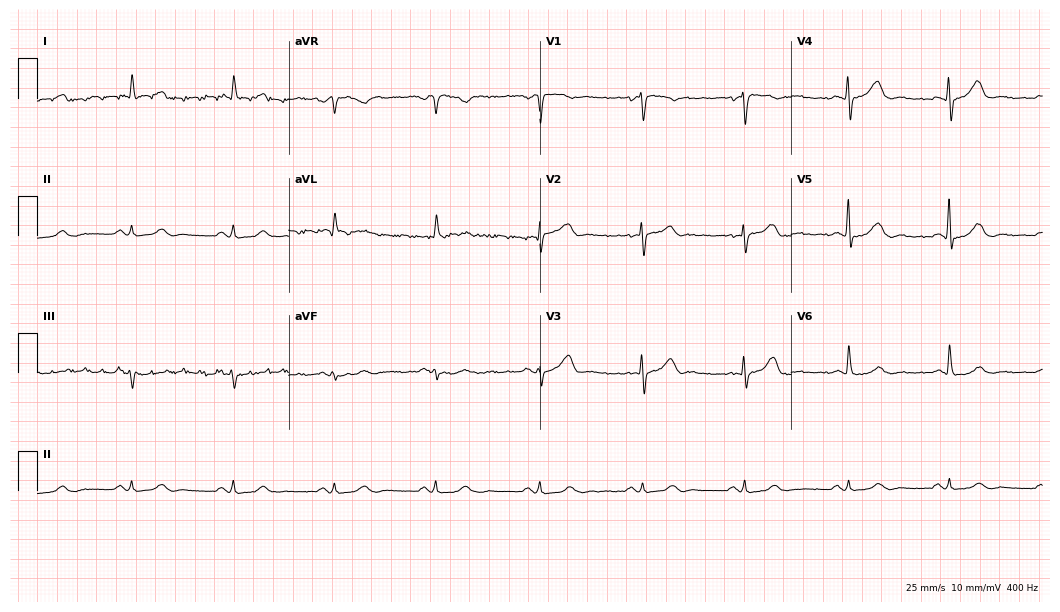
ECG — a 79-year-old female. Screened for six findings — first-degree AV block, right bundle branch block, left bundle branch block, sinus bradycardia, atrial fibrillation, sinus tachycardia — none is recorded. Findings outside these six are not listed.